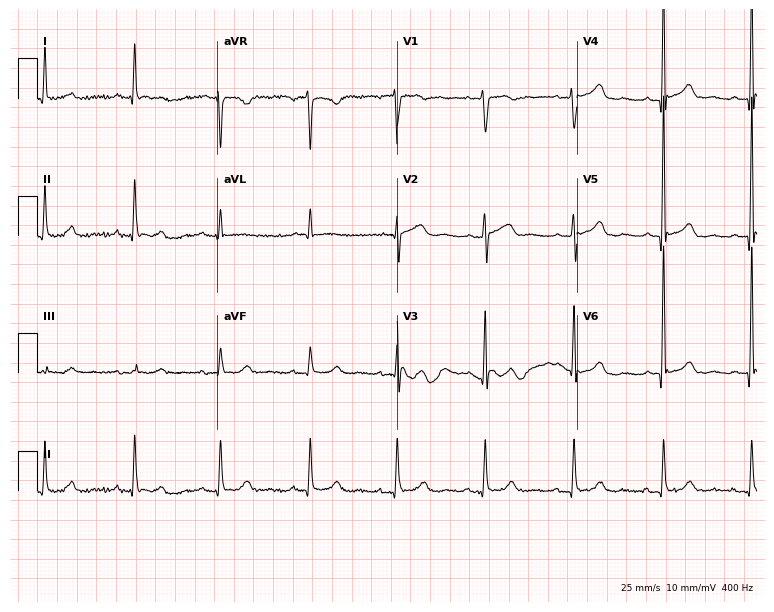
12-lead ECG from a 79-year-old female. No first-degree AV block, right bundle branch block, left bundle branch block, sinus bradycardia, atrial fibrillation or sinus tachycardia recorded for this tracing.